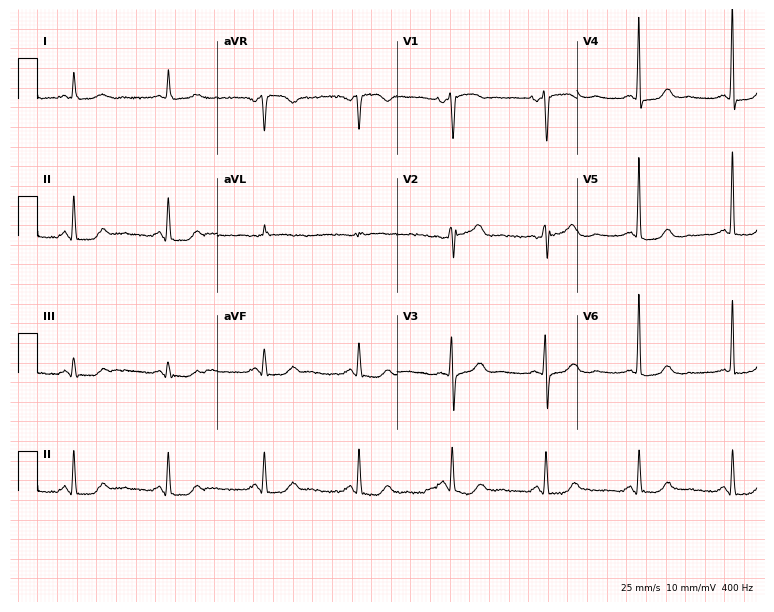
ECG (7.3-second recording at 400 Hz) — an 81-year-old female. Screened for six findings — first-degree AV block, right bundle branch block, left bundle branch block, sinus bradycardia, atrial fibrillation, sinus tachycardia — none is recorded.